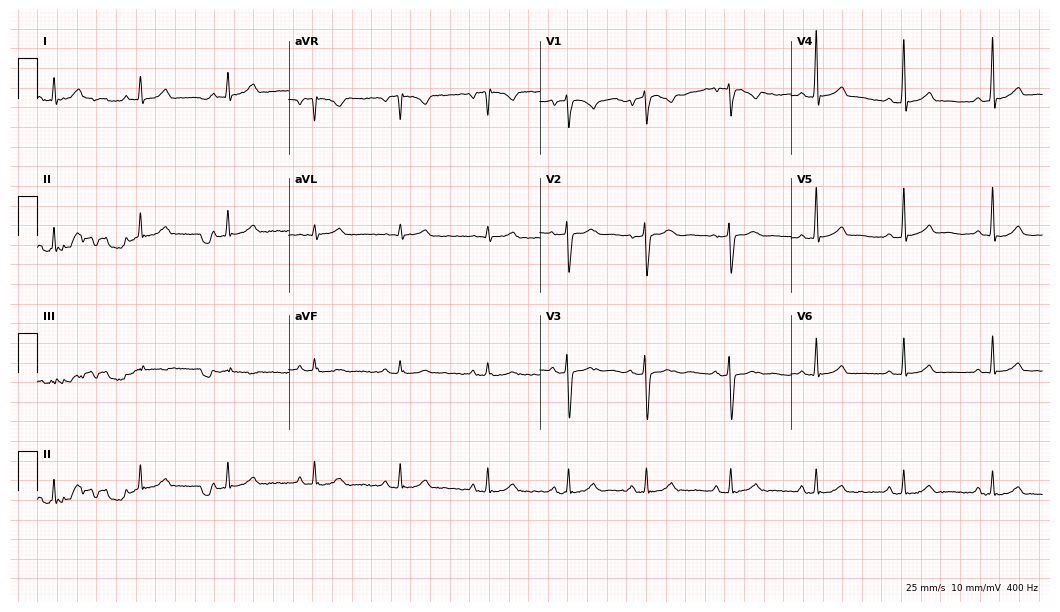
Standard 12-lead ECG recorded from a man, 43 years old. None of these six findings is recorded: first-degree AV block, right bundle branch block, left bundle branch block, sinus bradycardia, atrial fibrillation, sinus tachycardia.